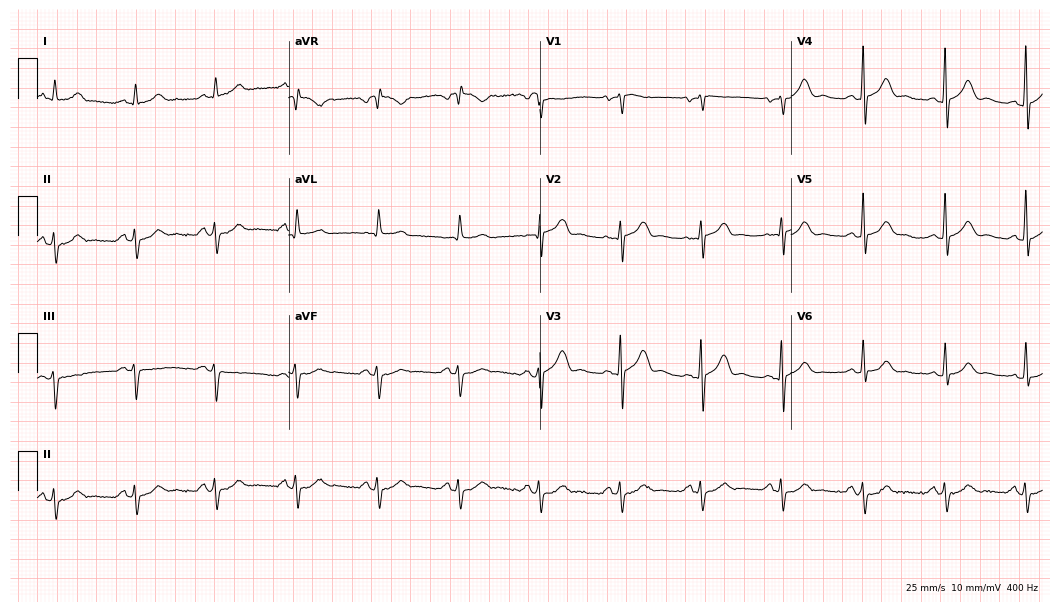
12-lead ECG (10.2-second recording at 400 Hz) from a 63-year-old male. Screened for six findings — first-degree AV block, right bundle branch block, left bundle branch block, sinus bradycardia, atrial fibrillation, sinus tachycardia — none is recorded.